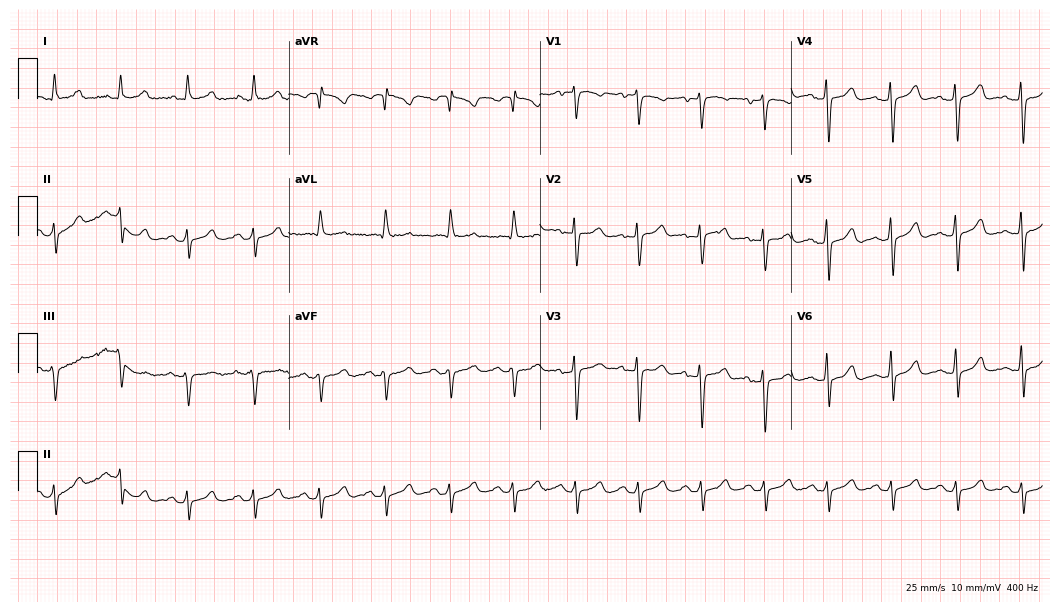
Resting 12-lead electrocardiogram (10.2-second recording at 400 Hz). Patient: a female, 78 years old. Read as a normal ECG.